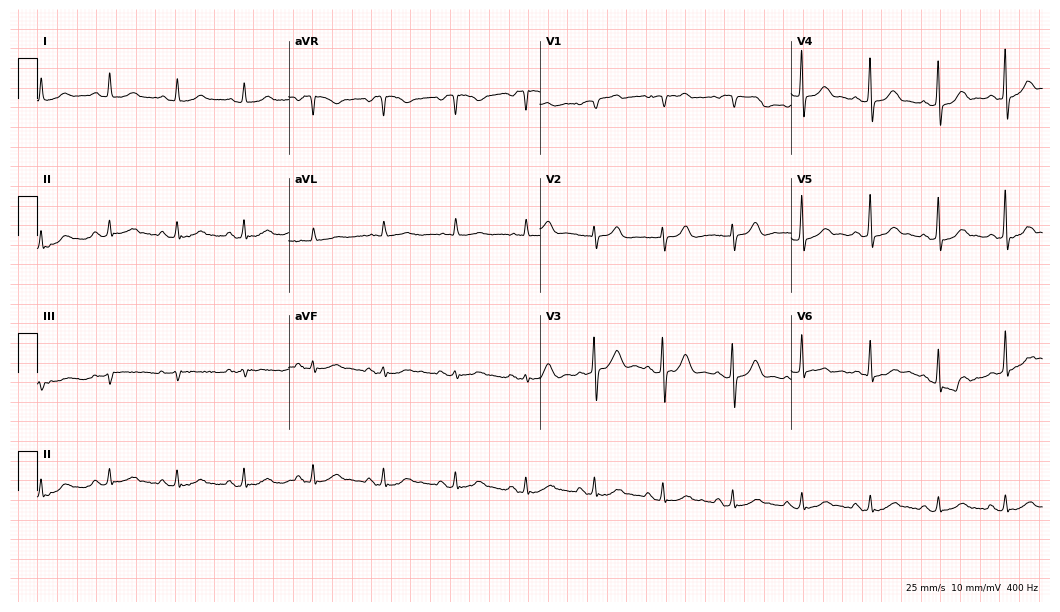
Resting 12-lead electrocardiogram (10.2-second recording at 400 Hz). Patient: an 80-year-old woman. Read as a normal ECG.